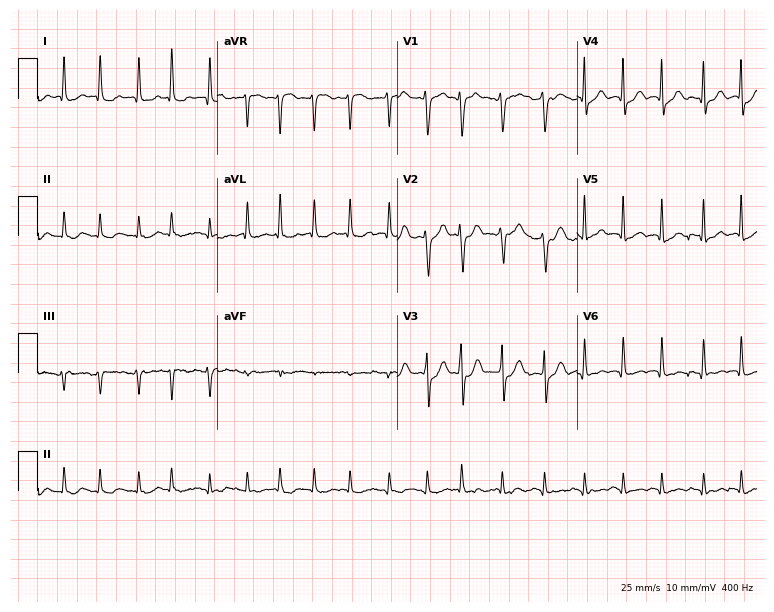
Standard 12-lead ECG recorded from a male, 65 years old. The tracing shows atrial fibrillation.